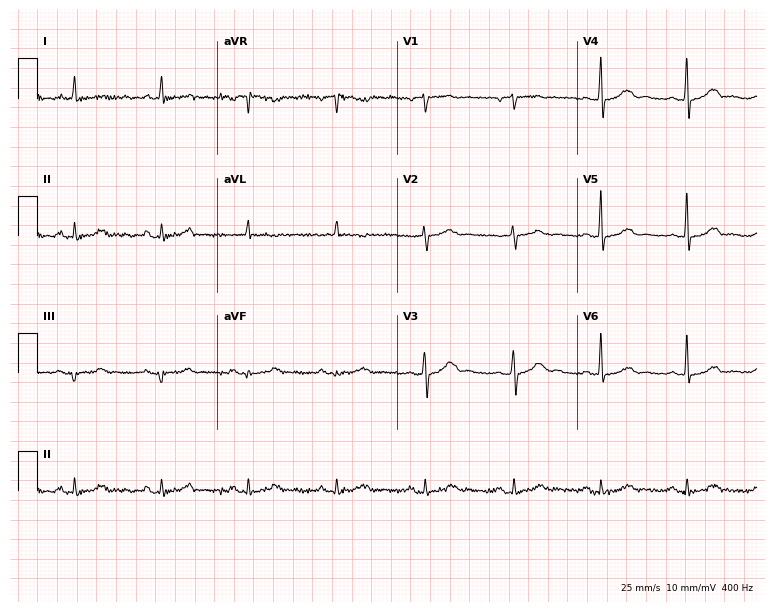
12-lead ECG from a 70-year-old male patient. Screened for six findings — first-degree AV block, right bundle branch block, left bundle branch block, sinus bradycardia, atrial fibrillation, sinus tachycardia — none is recorded. Only these six findings were labelled.